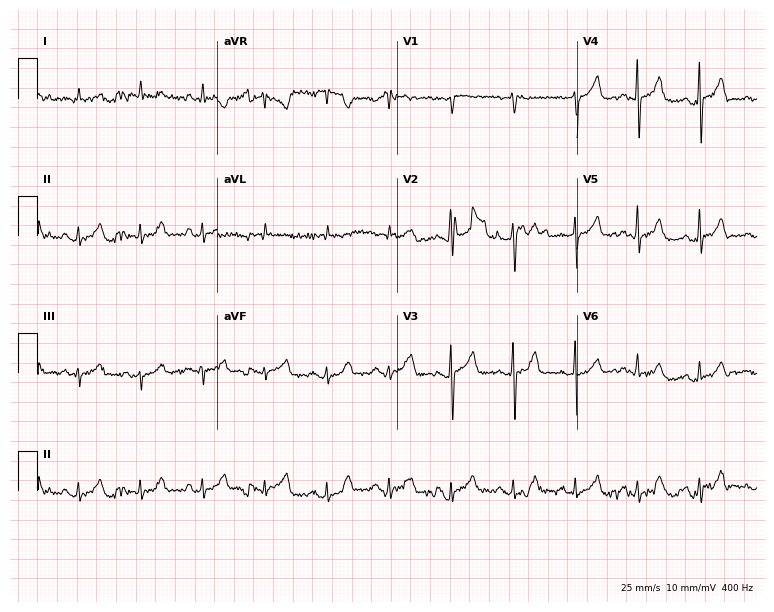
12-lead ECG (7.3-second recording at 400 Hz) from a male, 68 years old. Screened for six findings — first-degree AV block, right bundle branch block, left bundle branch block, sinus bradycardia, atrial fibrillation, sinus tachycardia — none is recorded. Only these six findings were labelled.